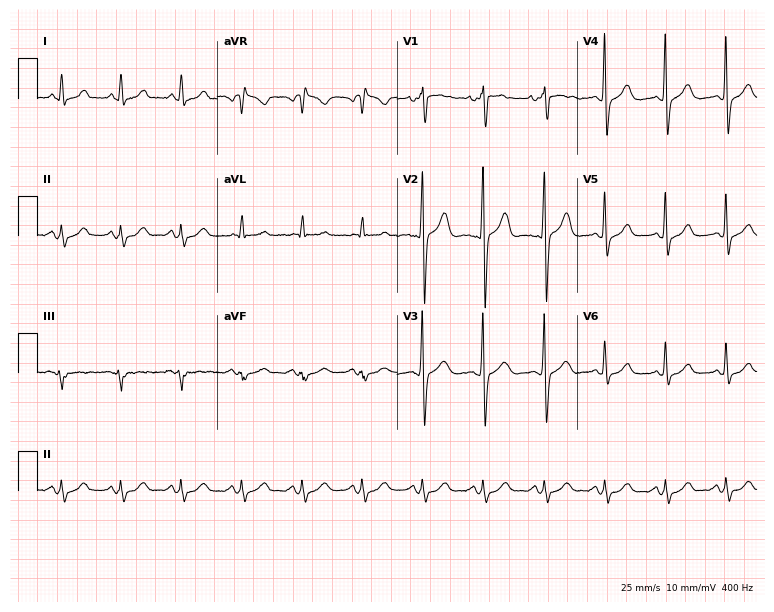
12-lead ECG from a female, 71 years old (7.3-second recording at 400 Hz). Recorded interpretation: within normal limits.